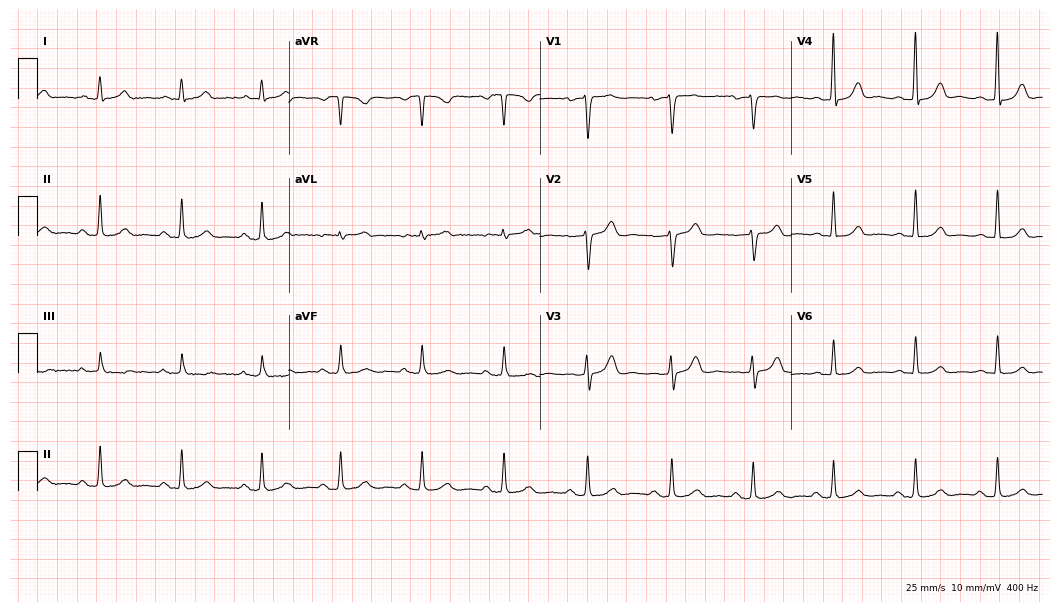
12-lead ECG from a female patient, 42 years old. Labelled as a normal ECG.